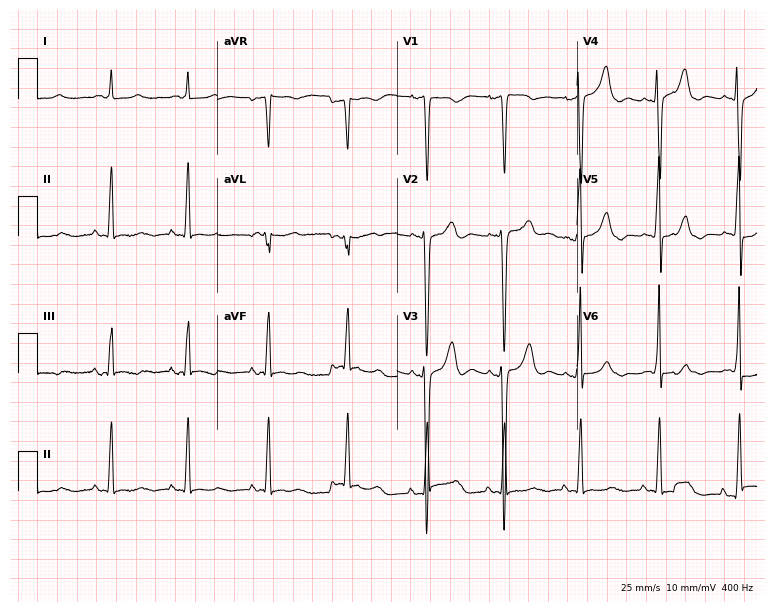
Electrocardiogram, a male, 59 years old. Of the six screened findings (first-degree AV block, right bundle branch block, left bundle branch block, sinus bradycardia, atrial fibrillation, sinus tachycardia), none is recorded.